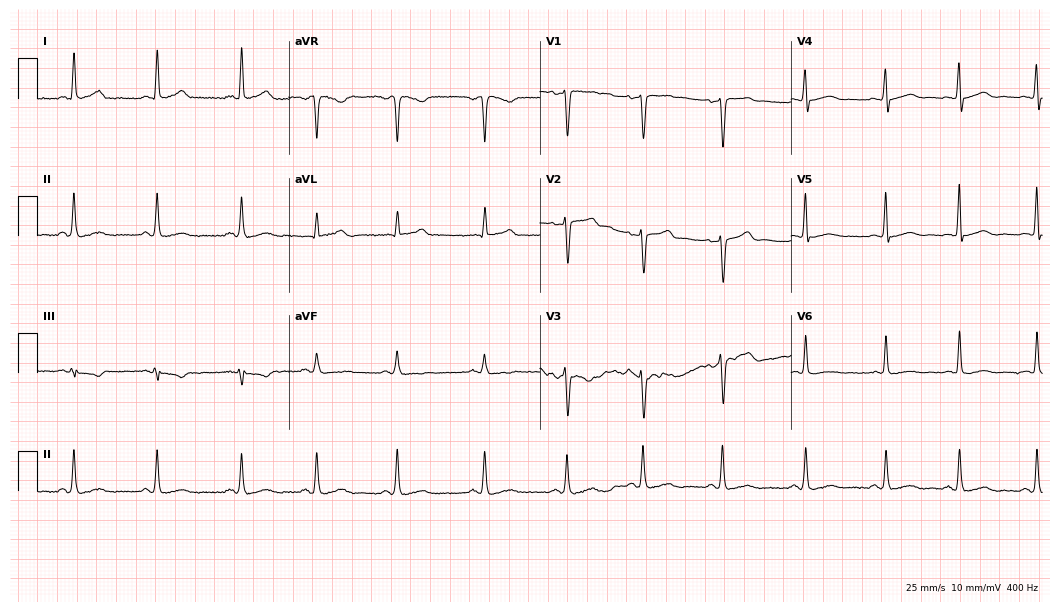
Resting 12-lead electrocardiogram. Patient: a 42-year-old female. Read as a normal ECG.